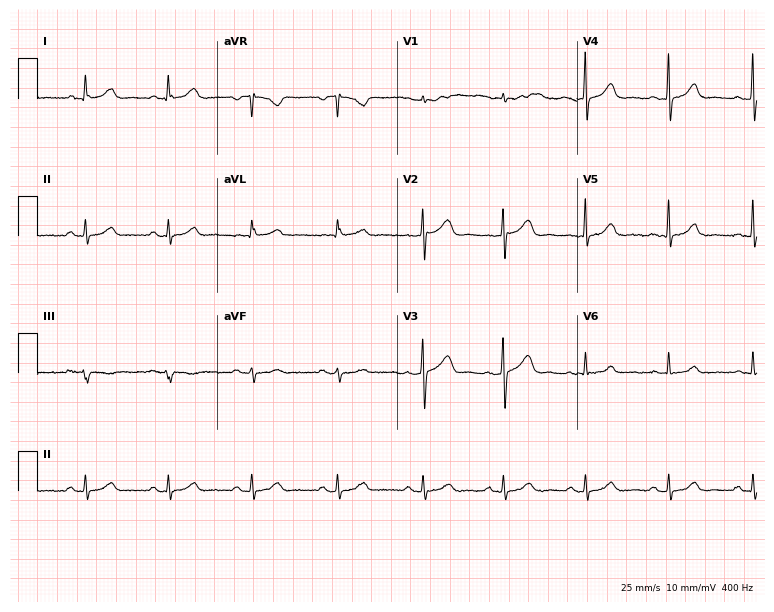
Standard 12-lead ECG recorded from a female patient, 42 years old. Read as a normal ECG.